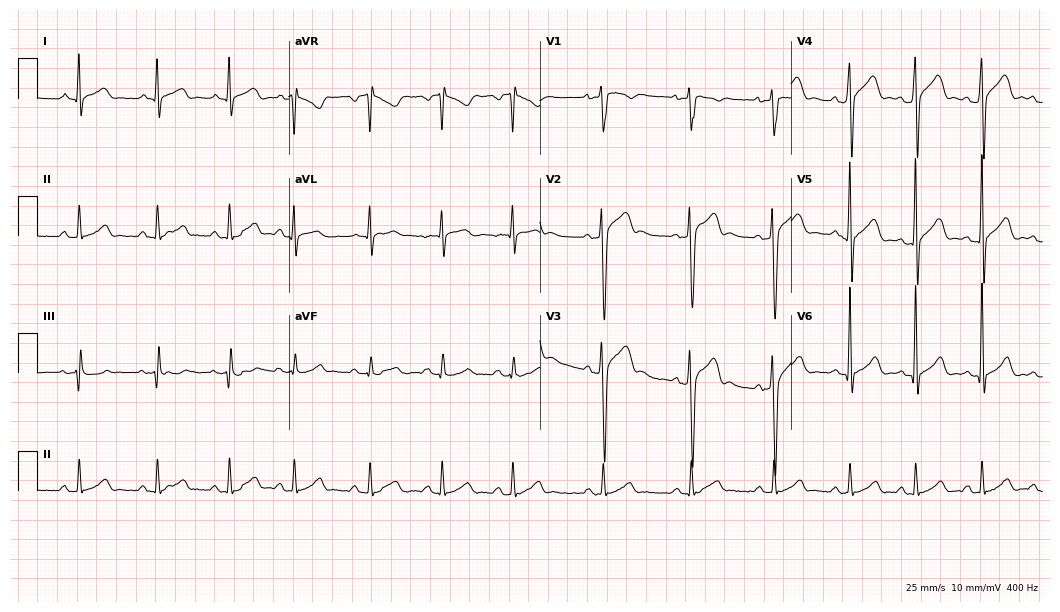
Electrocardiogram (10.2-second recording at 400 Hz), a man, 28 years old. Of the six screened findings (first-degree AV block, right bundle branch block, left bundle branch block, sinus bradycardia, atrial fibrillation, sinus tachycardia), none is recorded.